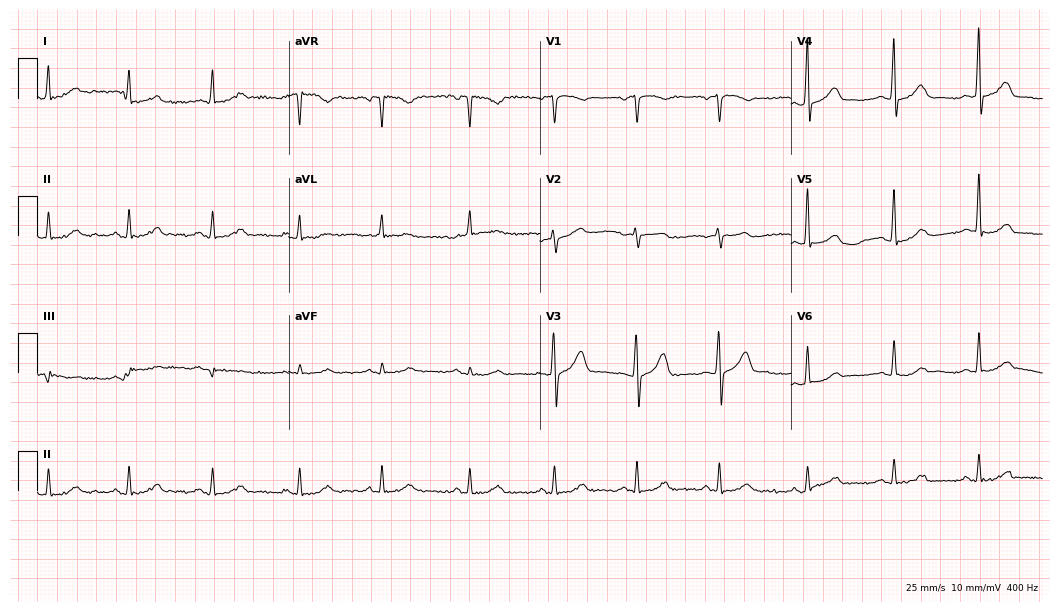
12-lead ECG from a 79-year-old male. Screened for six findings — first-degree AV block, right bundle branch block (RBBB), left bundle branch block (LBBB), sinus bradycardia, atrial fibrillation (AF), sinus tachycardia — none is recorded.